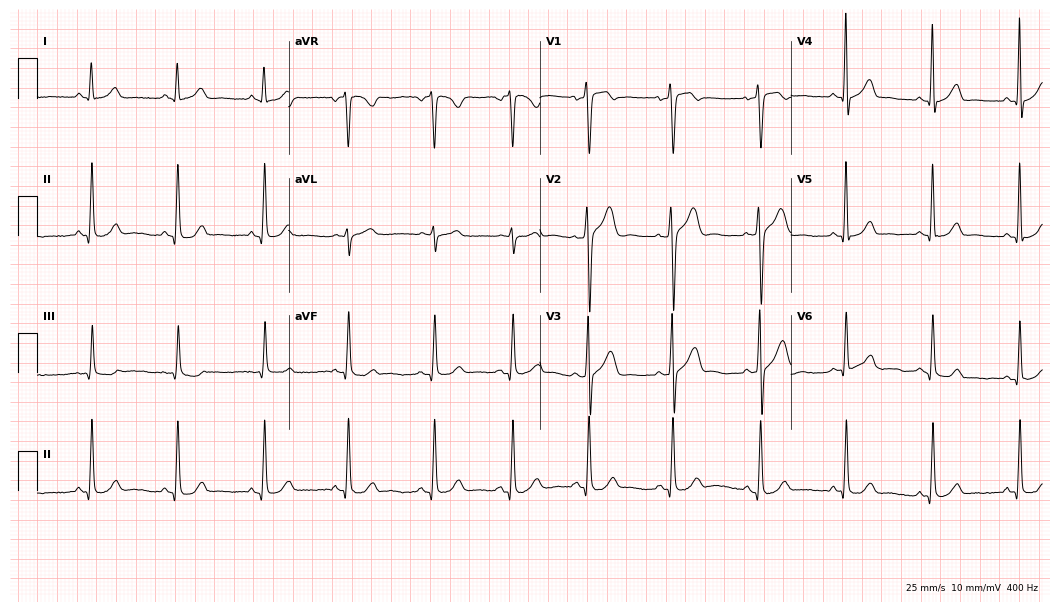
Electrocardiogram, a male, 36 years old. Overall reading on record: normal ECG.